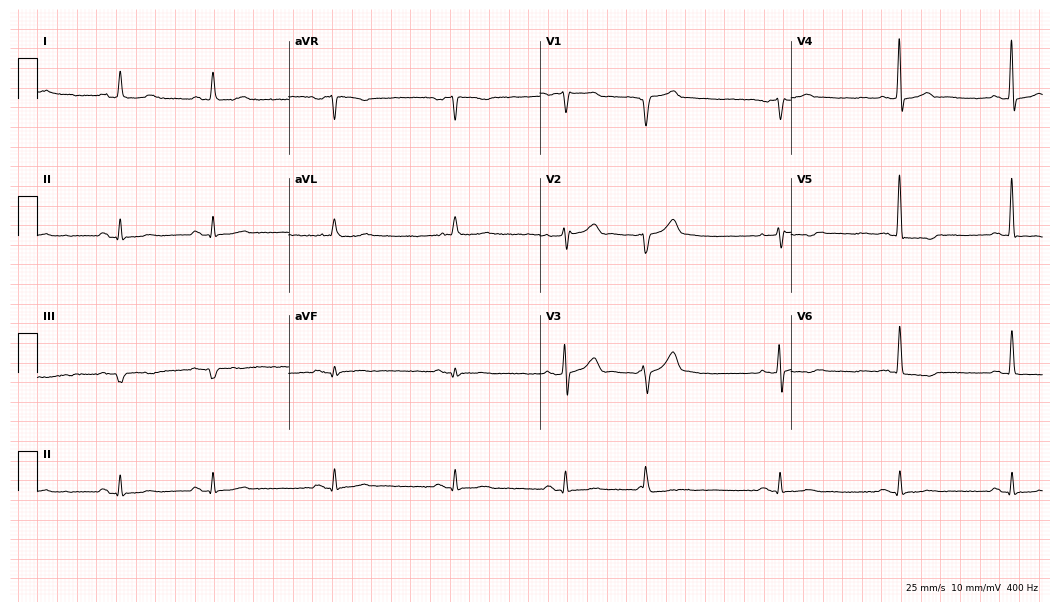
Standard 12-lead ECG recorded from a male patient, 82 years old. Read as a normal ECG.